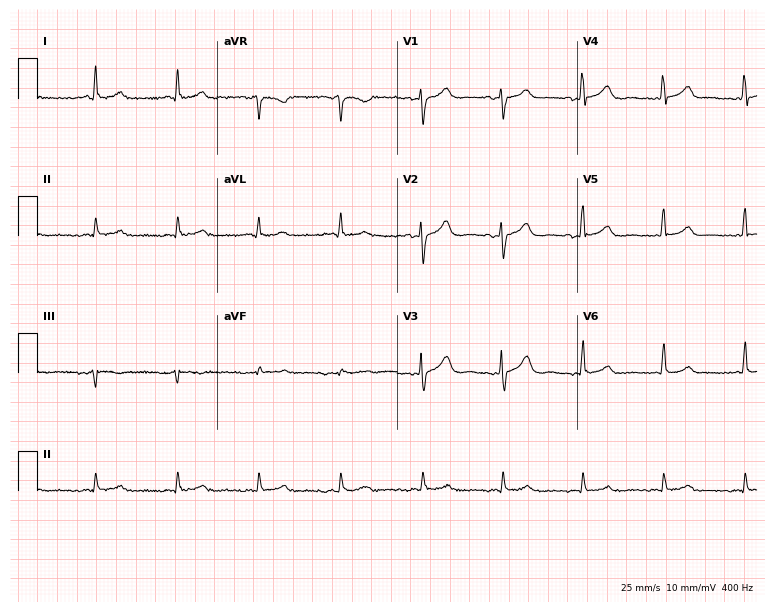
12-lead ECG from a woman, 57 years old. Recorded interpretation: within normal limits.